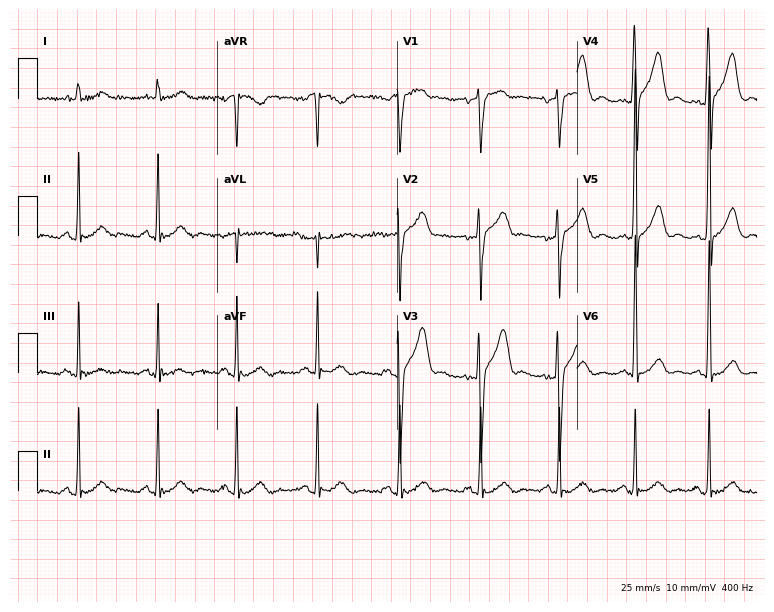
12-lead ECG from a man, 60 years old. Recorded interpretation: within normal limits.